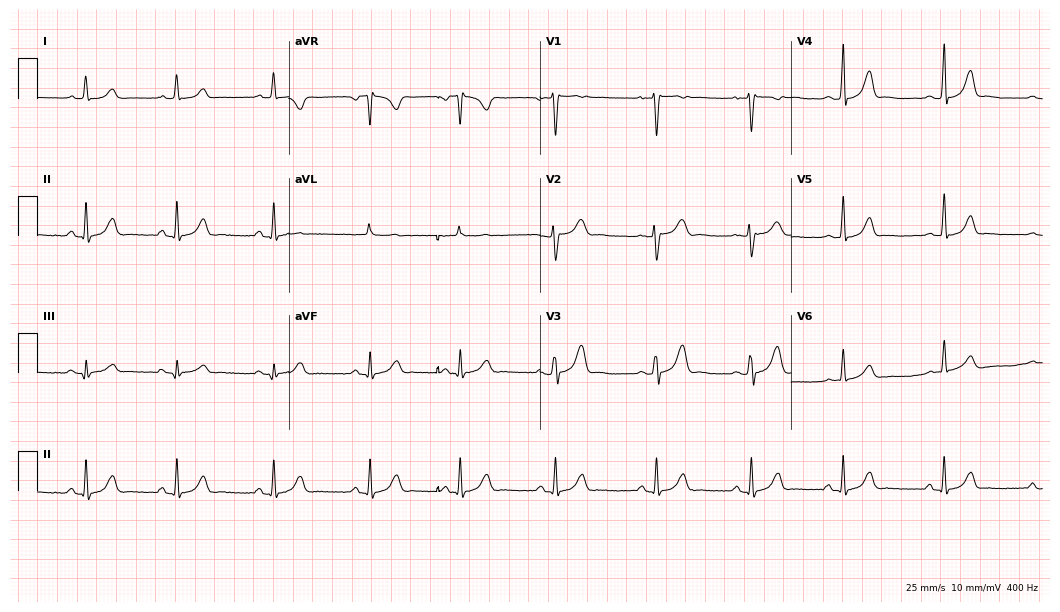
12-lead ECG from an 18-year-old female. Labelled as a normal ECG.